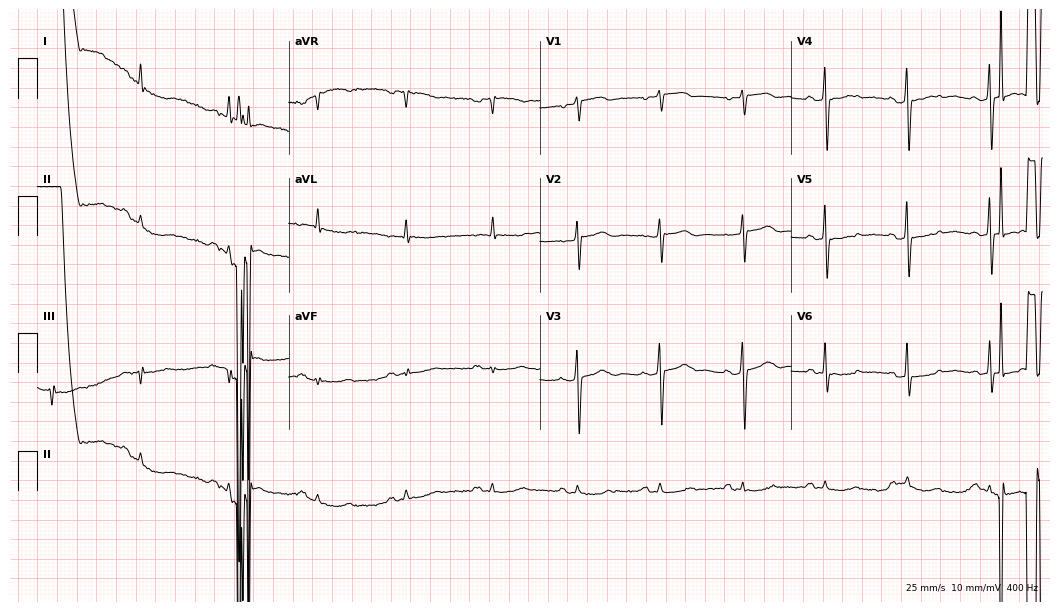
Standard 12-lead ECG recorded from a man, 78 years old (10.2-second recording at 400 Hz). None of these six findings is recorded: first-degree AV block, right bundle branch block, left bundle branch block, sinus bradycardia, atrial fibrillation, sinus tachycardia. Findings outside these six are not listed.